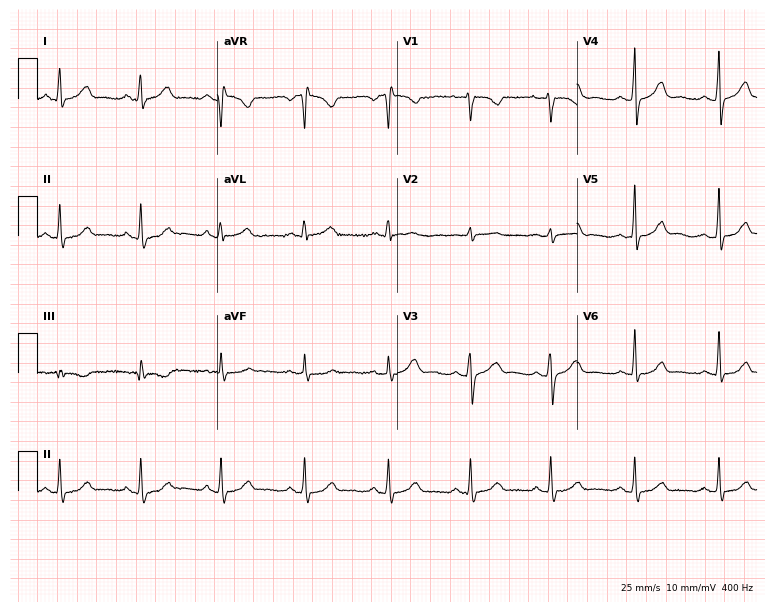
Resting 12-lead electrocardiogram (7.3-second recording at 400 Hz). Patient: a female, 45 years old. None of these six findings is recorded: first-degree AV block, right bundle branch block, left bundle branch block, sinus bradycardia, atrial fibrillation, sinus tachycardia. Other findings, if any, are not listed.